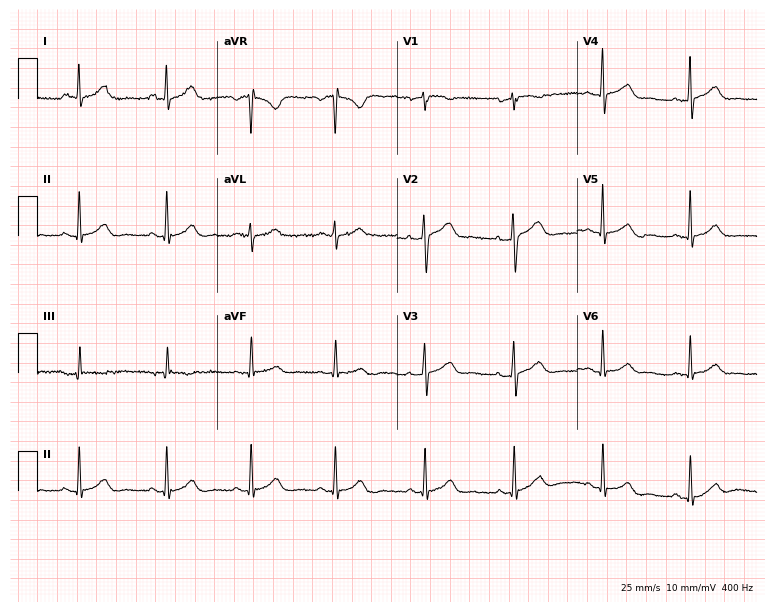
Resting 12-lead electrocardiogram (7.3-second recording at 400 Hz). Patient: a 57-year-old female. Read as a normal ECG.